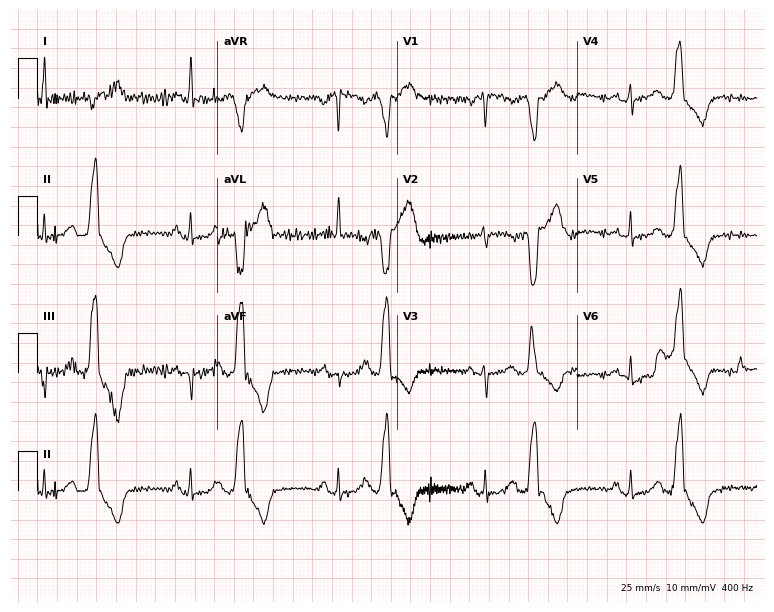
Standard 12-lead ECG recorded from a 49-year-old female patient. None of these six findings is recorded: first-degree AV block, right bundle branch block (RBBB), left bundle branch block (LBBB), sinus bradycardia, atrial fibrillation (AF), sinus tachycardia.